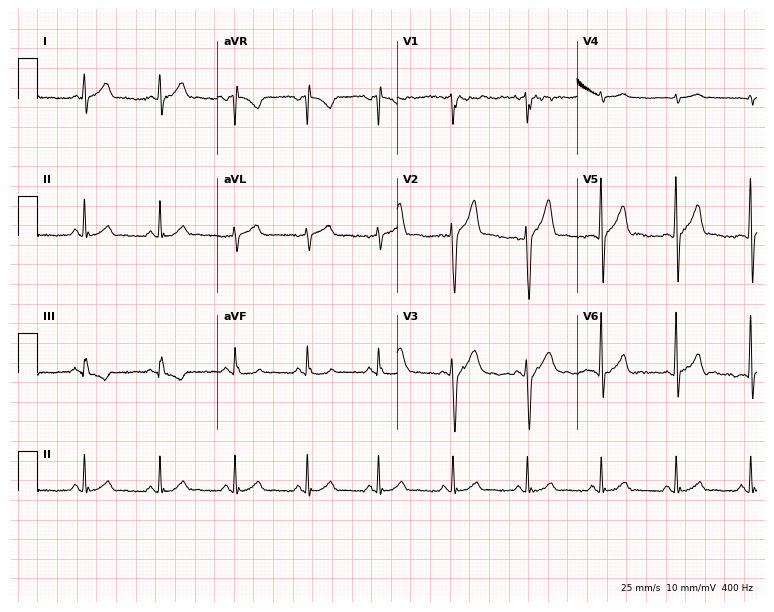
ECG (7.3-second recording at 400 Hz) — a 46-year-old male patient. Screened for six findings — first-degree AV block, right bundle branch block (RBBB), left bundle branch block (LBBB), sinus bradycardia, atrial fibrillation (AF), sinus tachycardia — none is recorded.